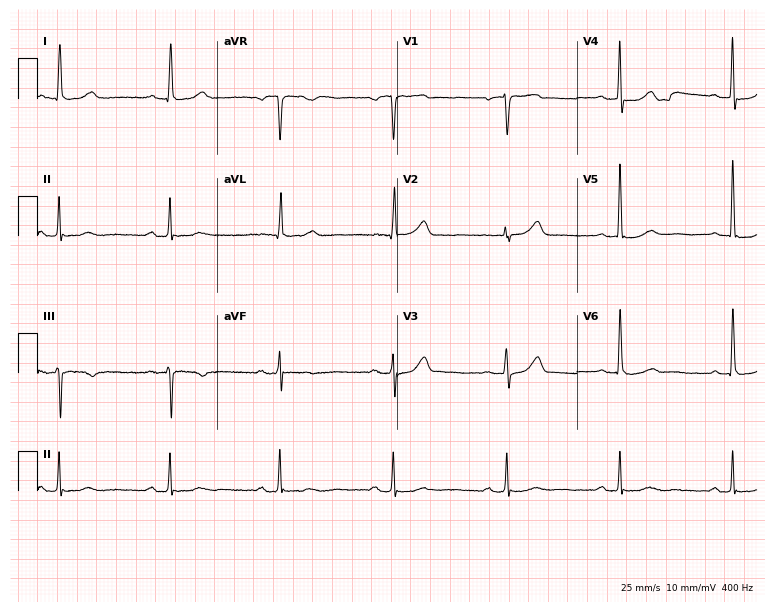
Electrocardiogram, a woman, 82 years old. Of the six screened findings (first-degree AV block, right bundle branch block, left bundle branch block, sinus bradycardia, atrial fibrillation, sinus tachycardia), none is recorded. Findings outside these six are not listed.